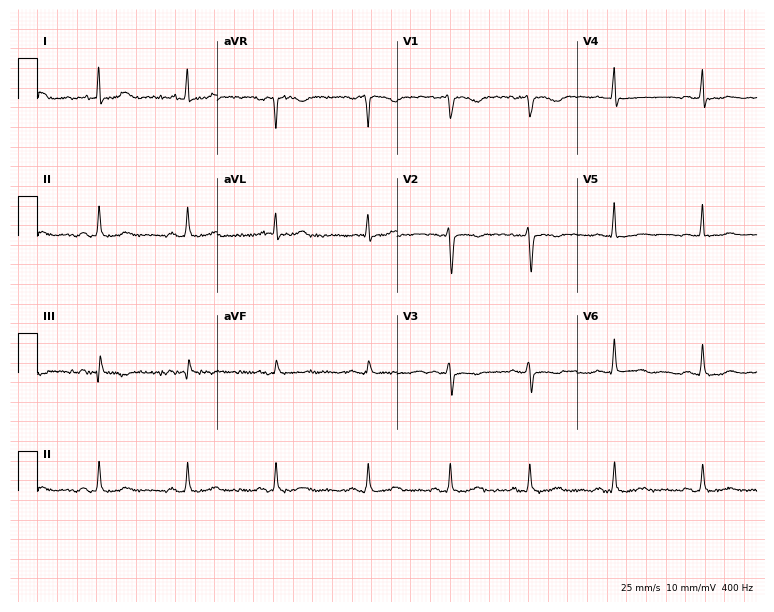
Resting 12-lead electrocardiogram. Patient: a 43-year-old woman. None of these six findings is recorded: first-degree AV block, right bundle branch block (RBBB), left bundle branch block (LBBB), sinus bradycardia, atrial fibrillation (AF), sinus tachycardia. Findings outside these six are not listed.